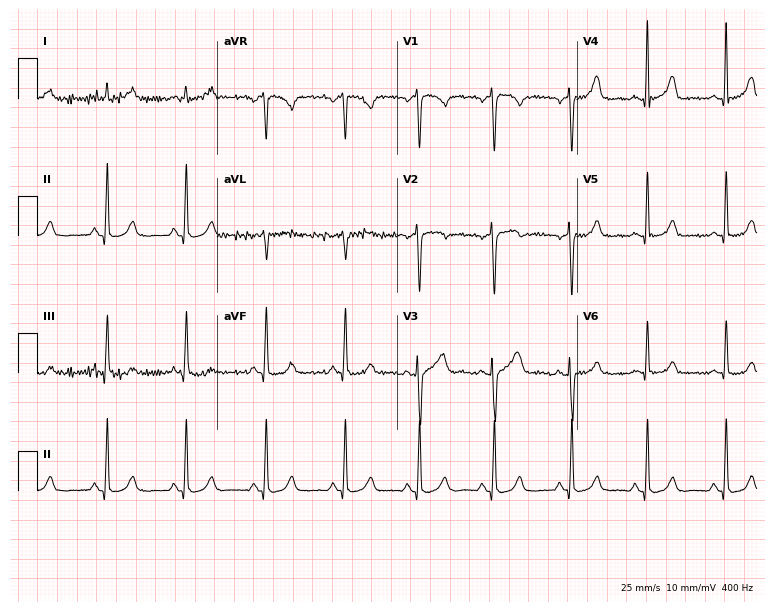
12-lead ECG from a 35-year-old female. Labelled as a normal ECG.